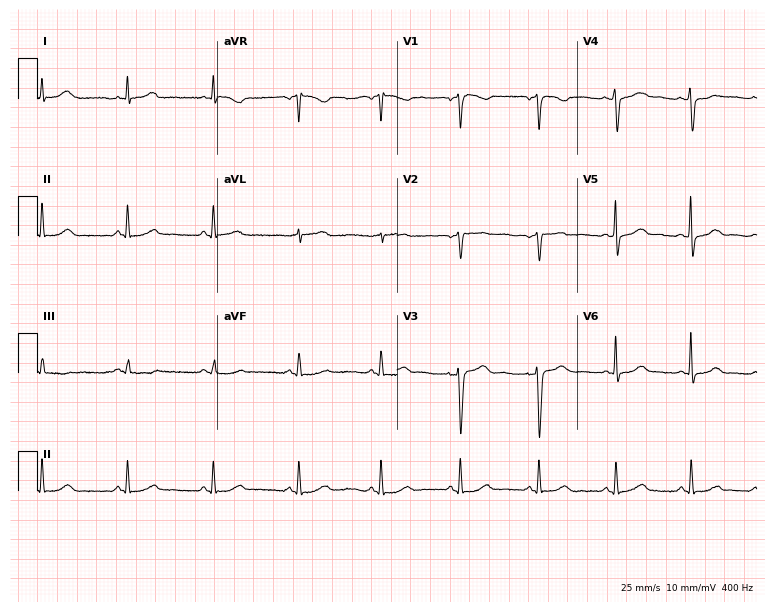
12-lead ECG from a woman, 35 years old. Labelled as a normal ECG.